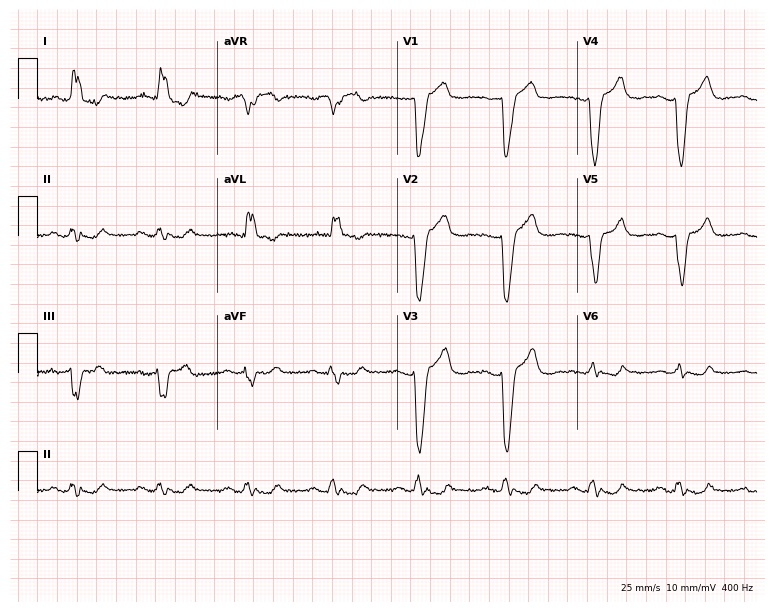
12-lead ECG from a 71-year-old woman (7.3-second recording at 400 Hz). Shows left bundle branch block.